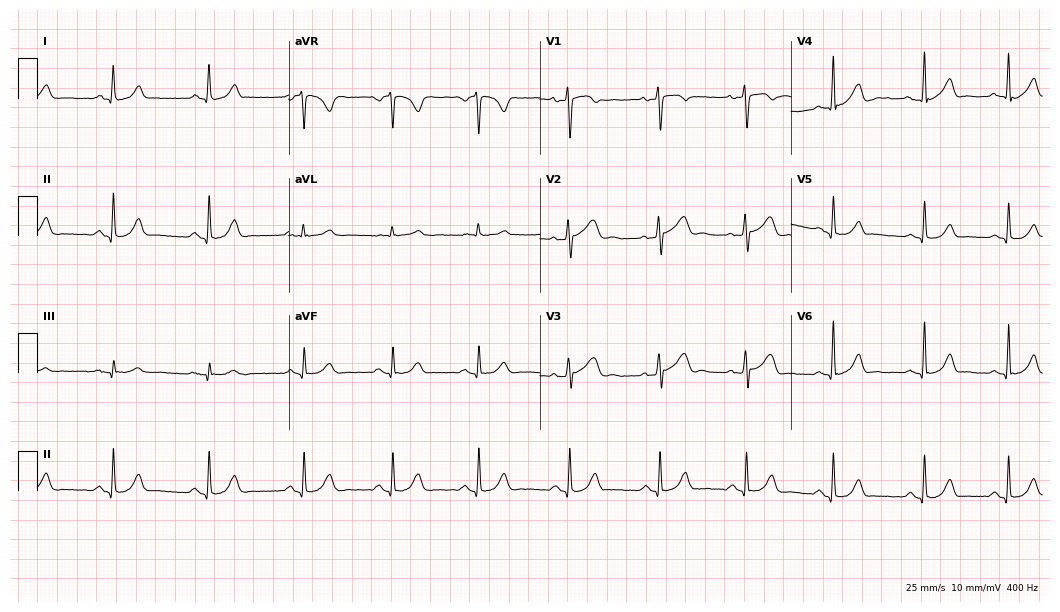
ECG — a female, 27 years old. Labelled as a normal ECG.